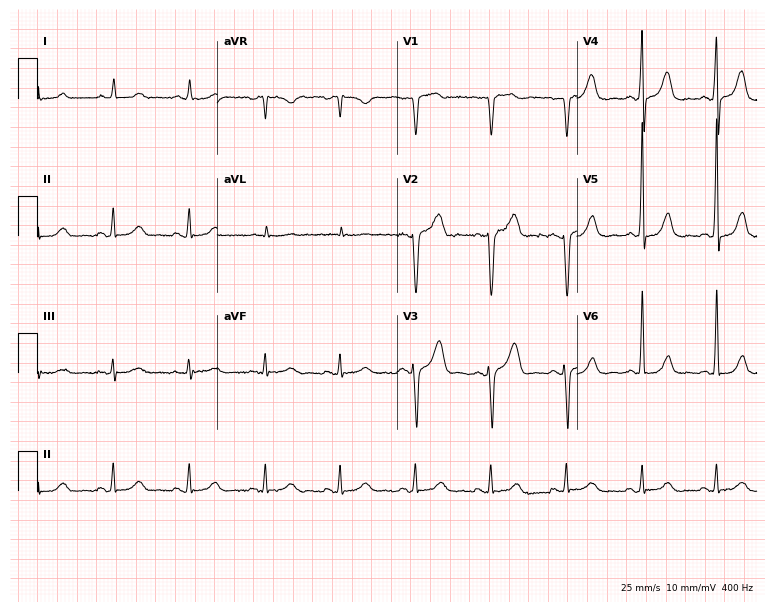
Standard 12-lead ECG recorded from a male patient, 41 years old (7.3-second recording at 400 Hz). None of these six findings is recorded: first-degree AV block, right bundle branch block, left bundle branch block, sinus bradycardia, atrial fibrillation, sinus tachycardia. Other findings, if any, are not listed.